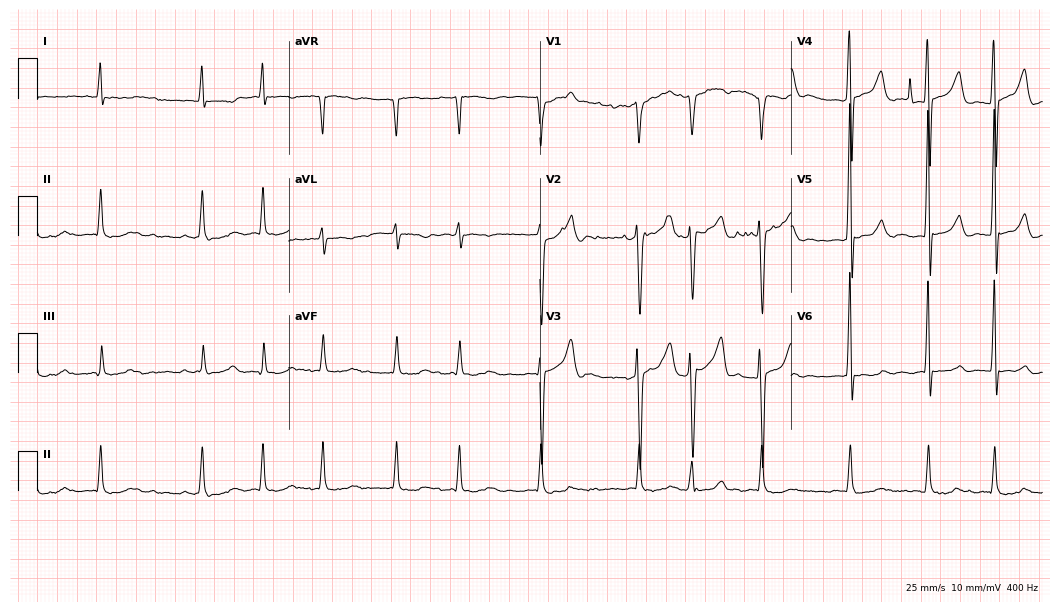
ECG (10.2-second recording at 400 Hz) — a male, 75 years old. Findings include atrial fibrillation (AF).